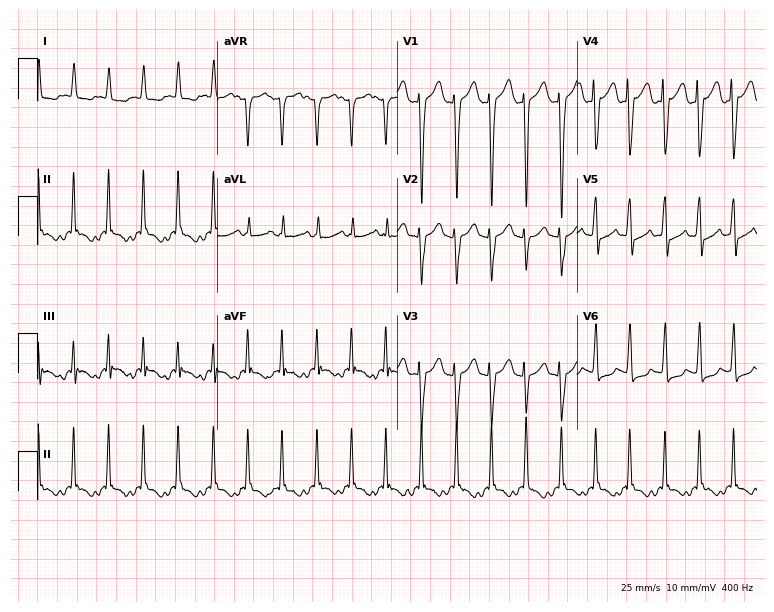
Electrocardiogram (7.3-second recording at 400 Hz), a male patient, 63 years old. Of the six screened findings (first-degree AV block, right bundle branch block (RBBB), left bundle branch block (LBBB), sinus bradycardia, atrial fibrillation (AF), sinus tachycardia), none is recorded.